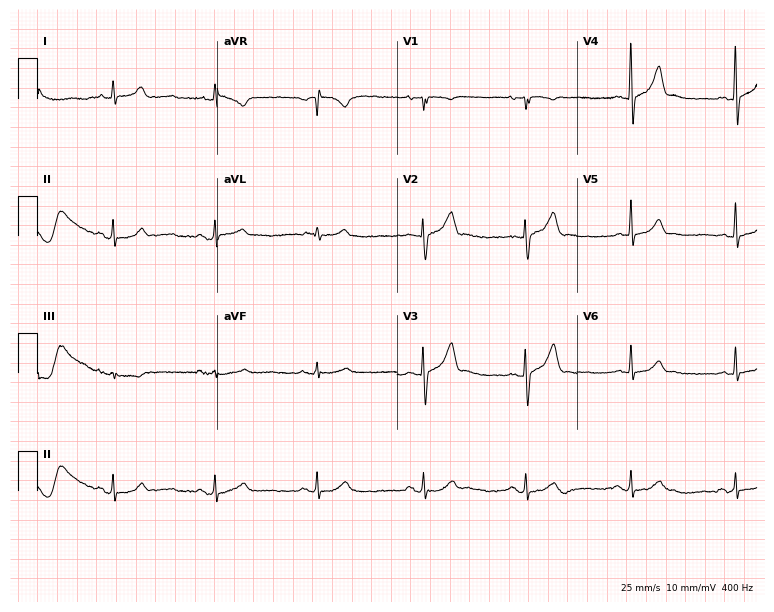
12-lead ECG from a male, 64 years old. Recorded interpretation: within normal limits.